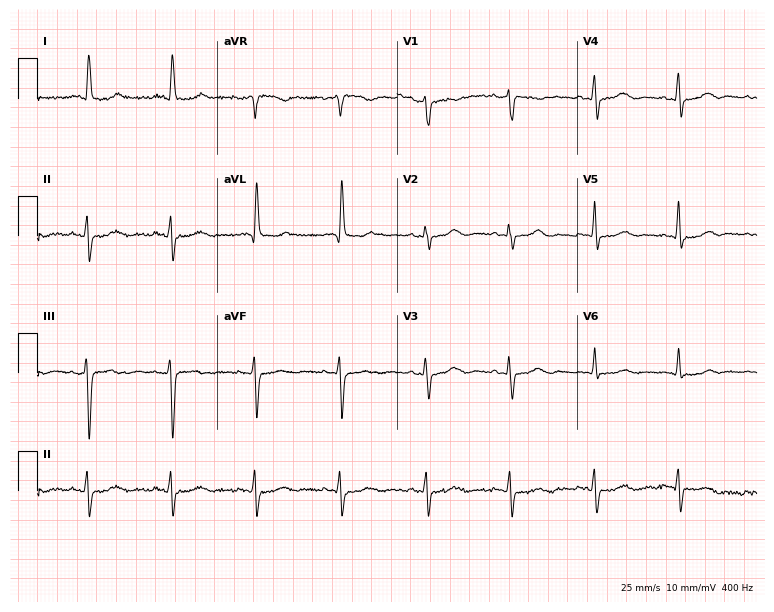
Standard 12-lead ECG recorded from an 80-year-old woman. None of these six findings is recorded: first-degree AV block, right bundle branch block, left bundle branch block, sinus bradycardia, atrial fibrillation, sinus tachycardia.